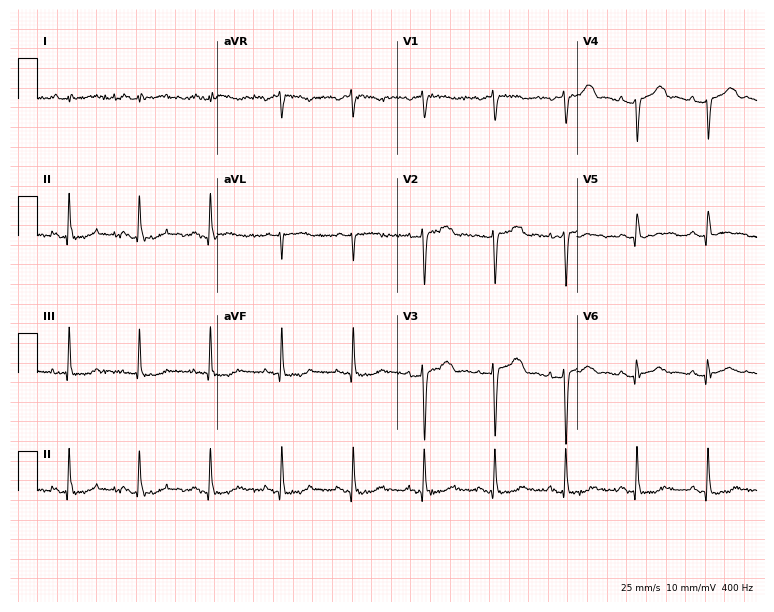
Resting 12-lead electrocardiogram. Patient: a 60-year-old female. None of these six findings is recorded: first-degree AV block, right bundle branch block, left bundle branch block, sinus bradycardia, atrial fibrillation, sinus tachycardia.